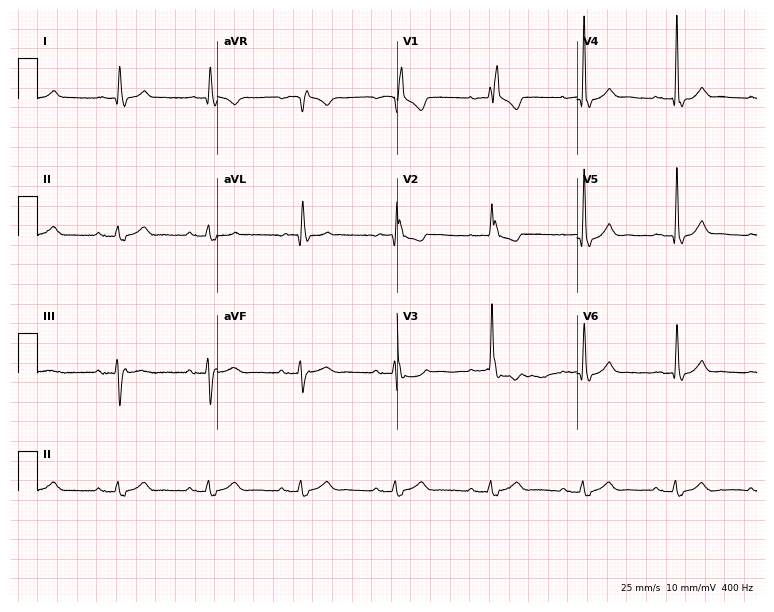
ECG — an 82-year-old man. Findings include right bundle branch block (RBBB).